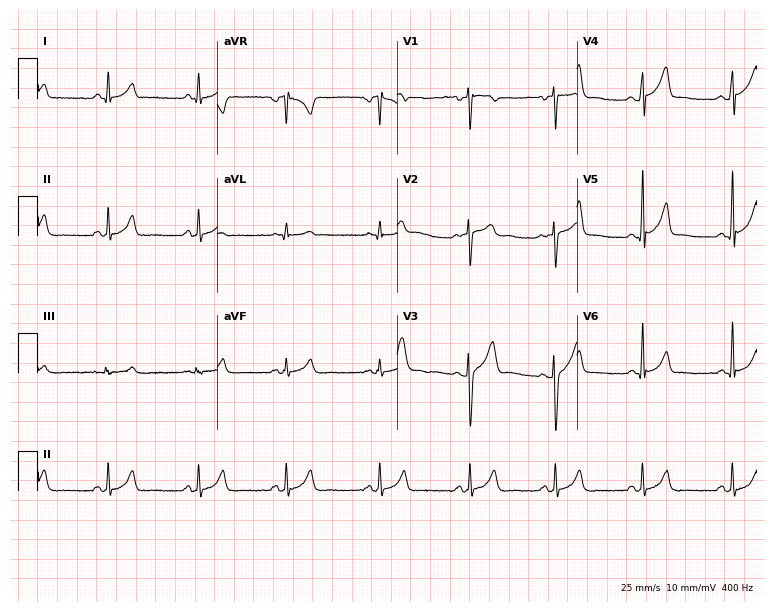
ECG (7.3-second recording at 400 Hz) — a 29-year-old male patient. Labelled as a normal ECG.